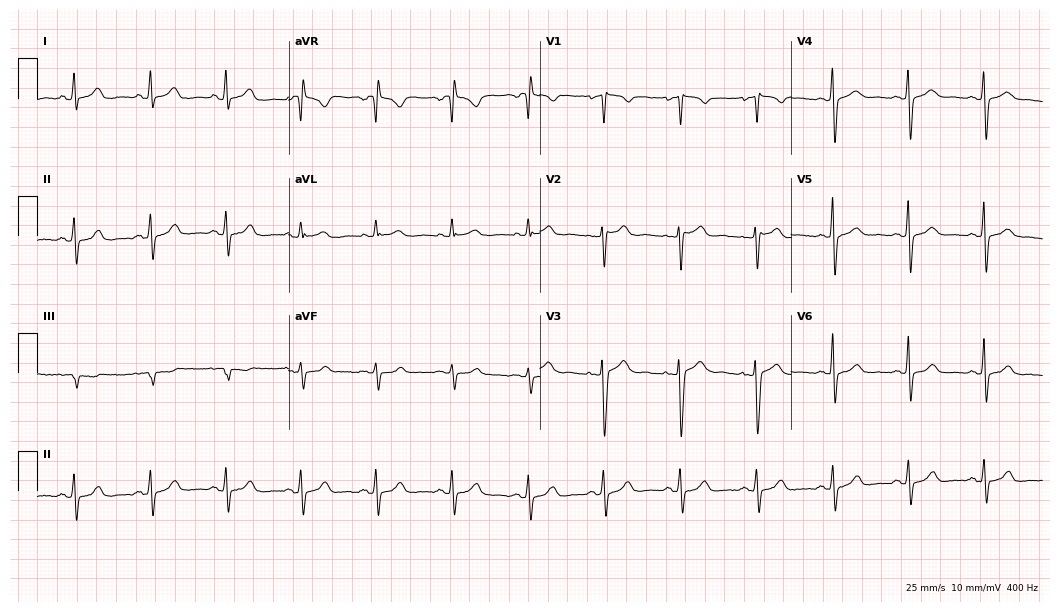
Standard 12-lead ECG recorded from a 27-year-old female patient (10.2-second recording at 400 Hz). Read as a normal ECG.